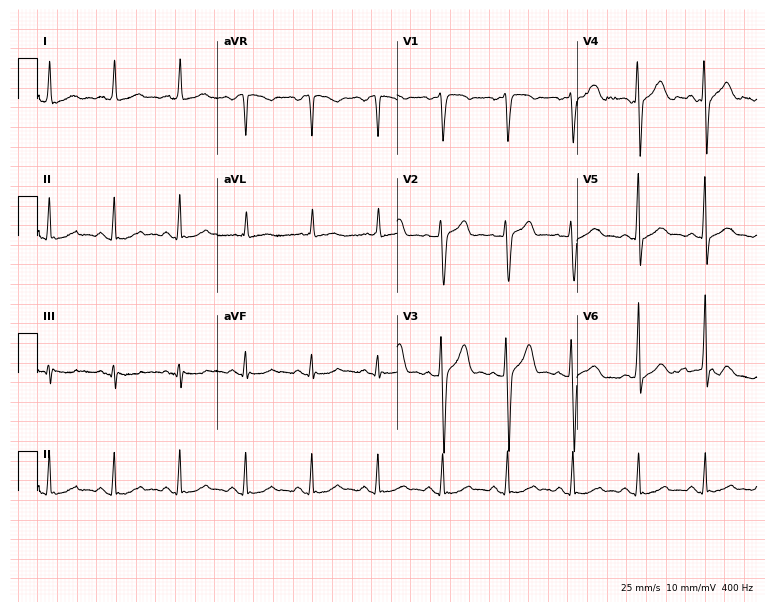
12-lead ECG from a 47-year-old male patient. Screened for six findings — first-degree AV block, right bundle branch block (RBBB), left bundle branch block (LBBB), sinus bradycardia, atrial fibrillation (AF), sinus tachycardia — none is recorded. Findings outside these six are not listed.